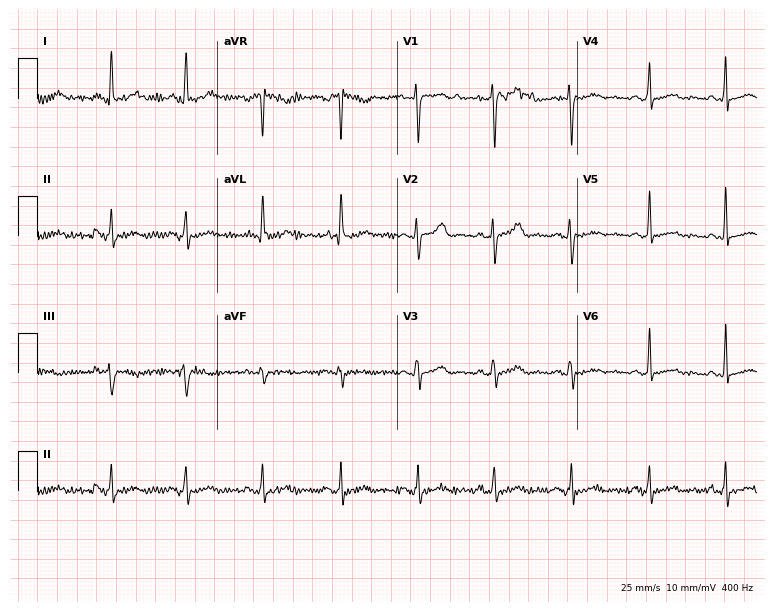
12-lead ECG (7.3-second recording at 400 Hz) from a 35-year-old female. Screened for six findings — first-degree AV block, right bundle branch block, left bundle branch block, sinus bradycardia, atrial fibrillation, sinus tachycardia — none is recorded.